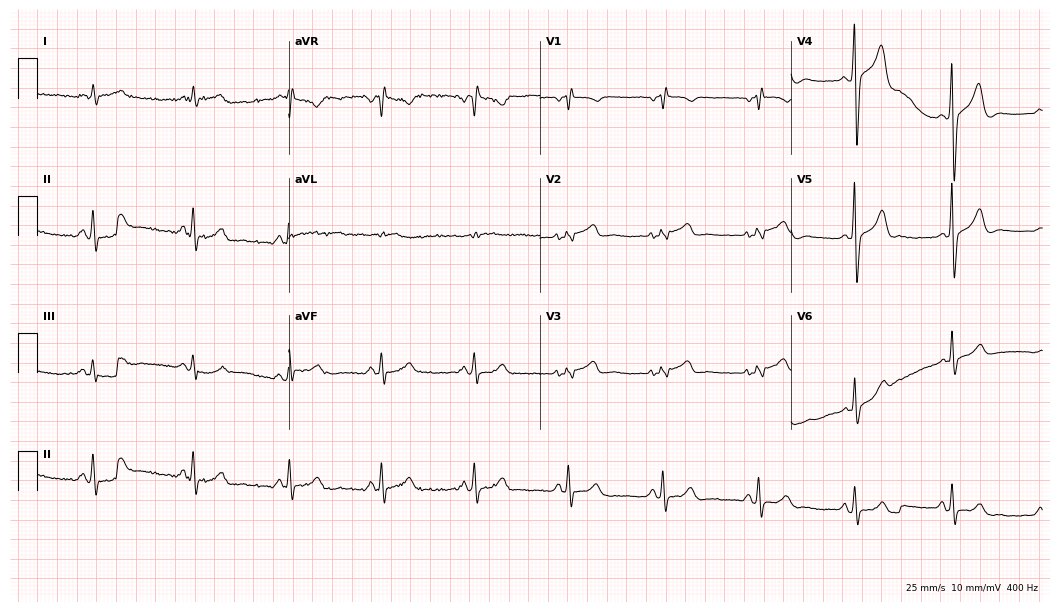
12-lead ECG from a 72-year-old female. Screened for six findings — first-degree AV block, right bundle branch block (RBBB), left bundle branch block (LBBB), sinus bradycardia, atrial fibrillation (AF), sinus tachycardia — none is recorded. Findings outside these six are not listed.